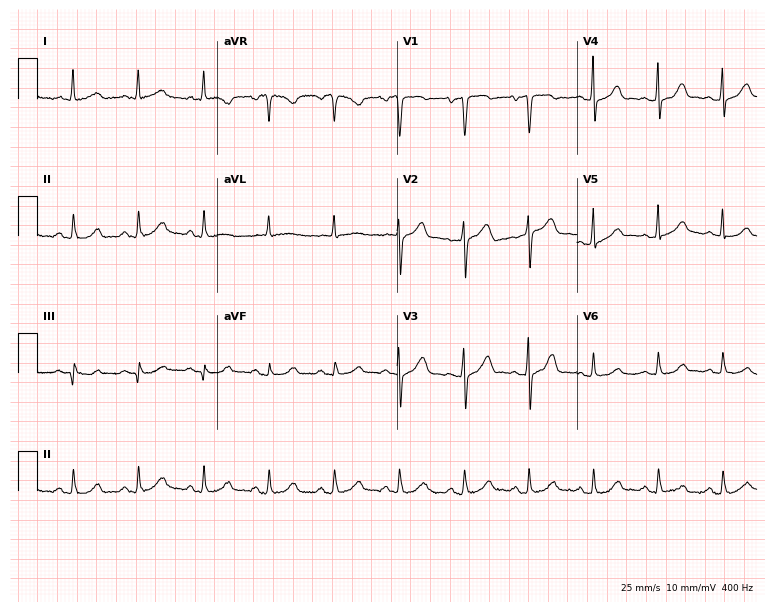
12-lead ECG from a 67-year-old woman. Recorded interpretation: within normal limits.